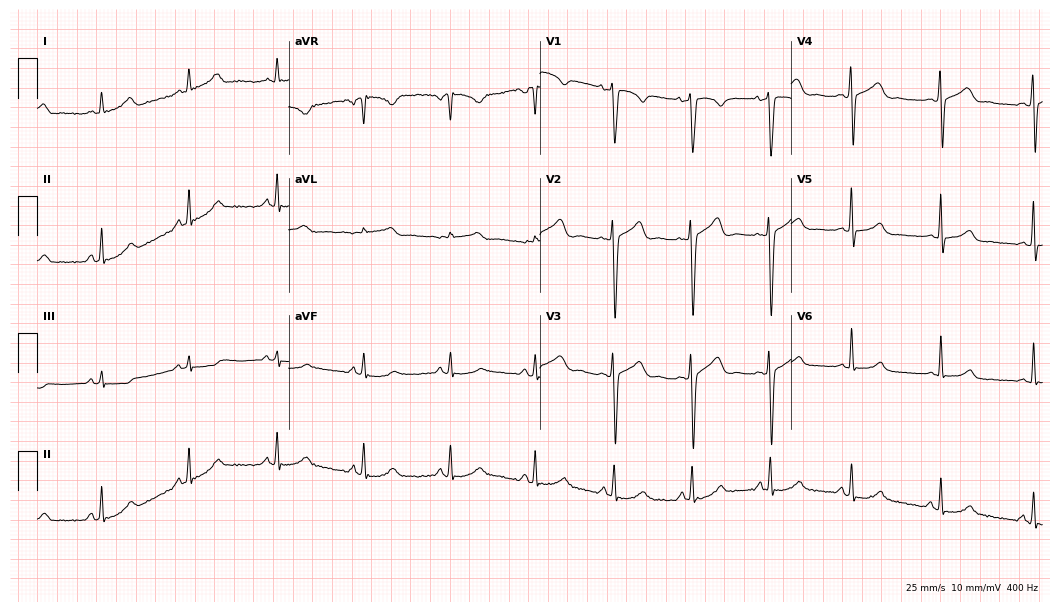
Electrocardiogram (10.2-second recording at 400 Hz), a 43-year-old male. Of the six screened findings (first-degree AV block, right bundle branch block, left bundle branch block, sinus bradycardia, atrial fibrillation, sinus tachycardia), none is recorded. Findings outside these six are not listed.